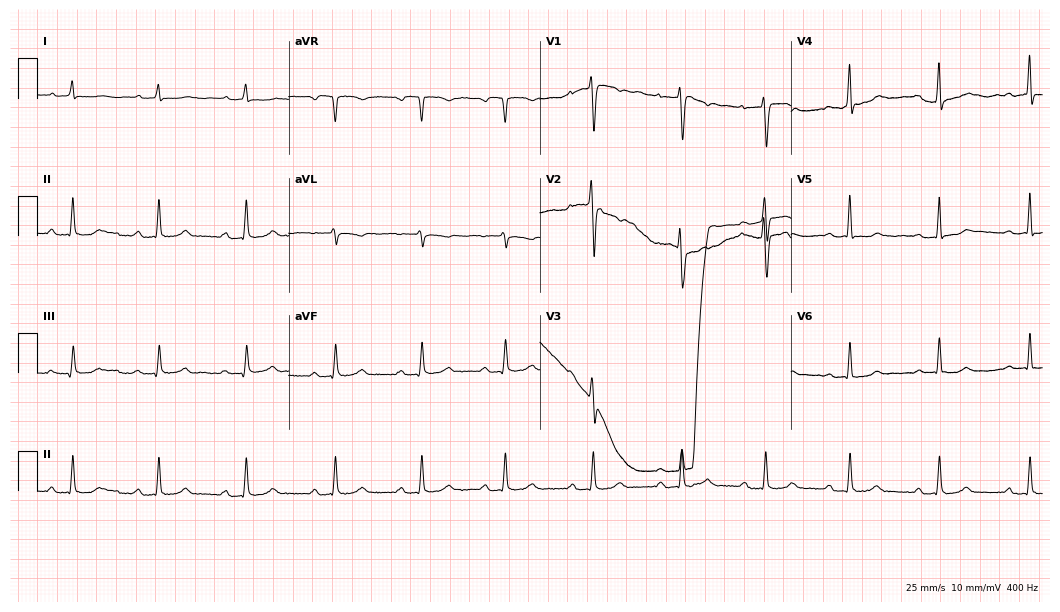
Standard 12-lead ECG recorded from a female patient, 36 years old (10.2-second recording at 400 Hz). Read as a normal ECG.